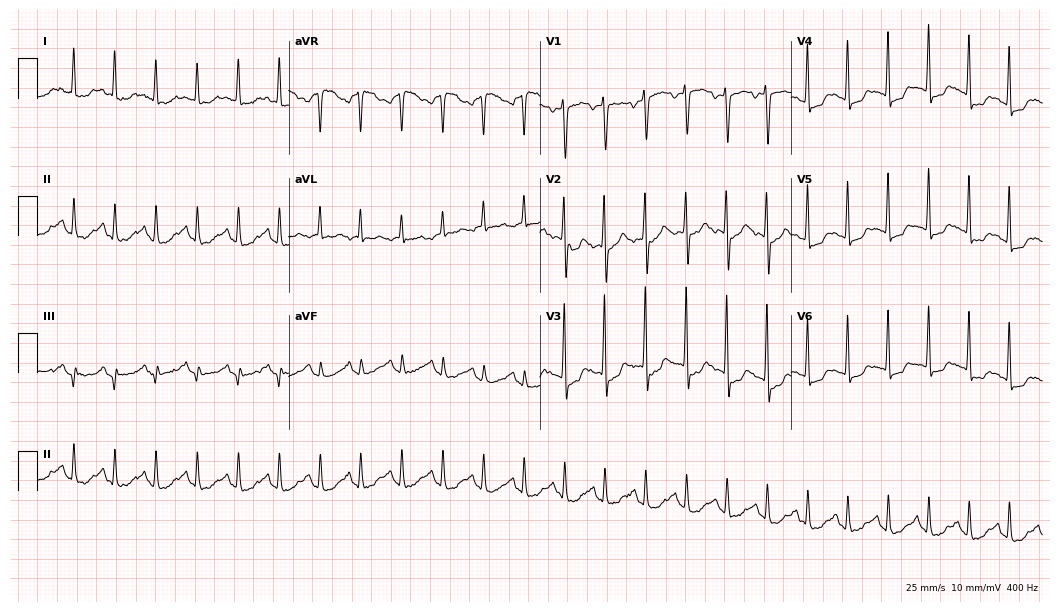
Resting 12-lead electrocardiogram. Patient: a female, 67 years old. The tracing shows sinus tachycardia (a sinus rate of 100 beats per minute or more).